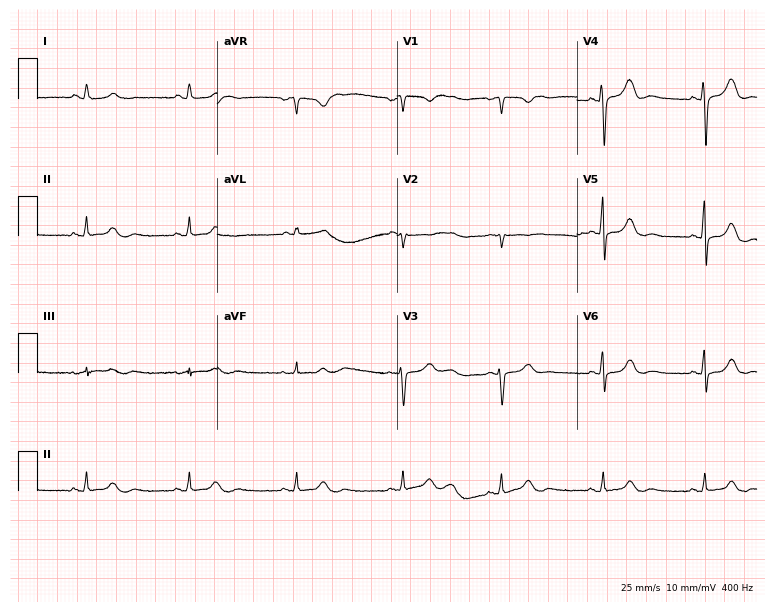
Standard 12-lead ECG recorded from a 24-year-old female. Read as a normal ECG.